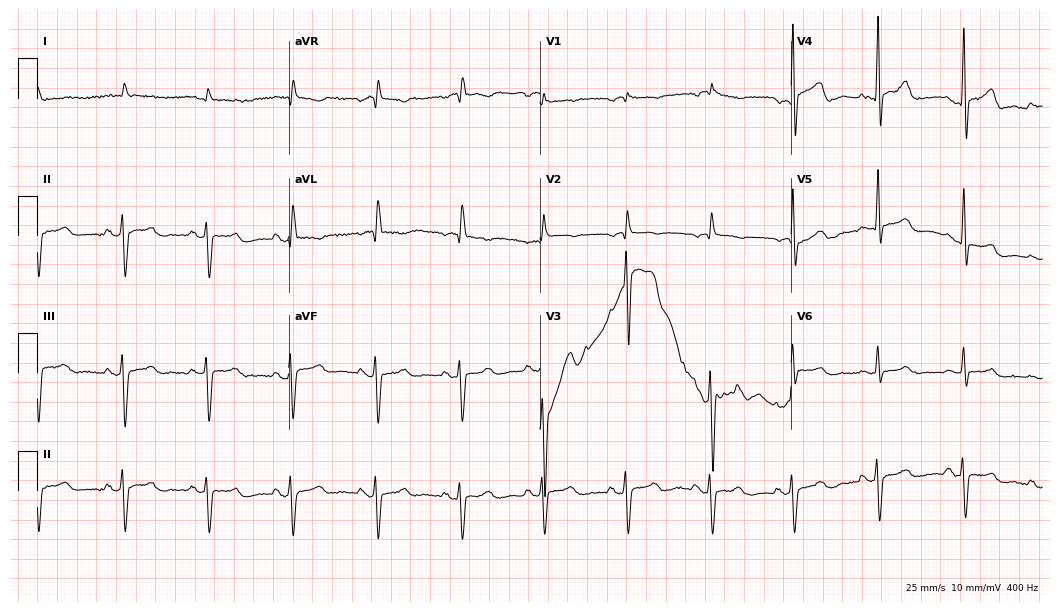
ECG (10.2-second recording at 400 Hz) — an 85-year-old man. Screened for six findings — first-degree AV block, right bundle branch block, left bundle branch block, sinus bradycardia, atrial fibrillation, sinus tachycardia — none is recorded.